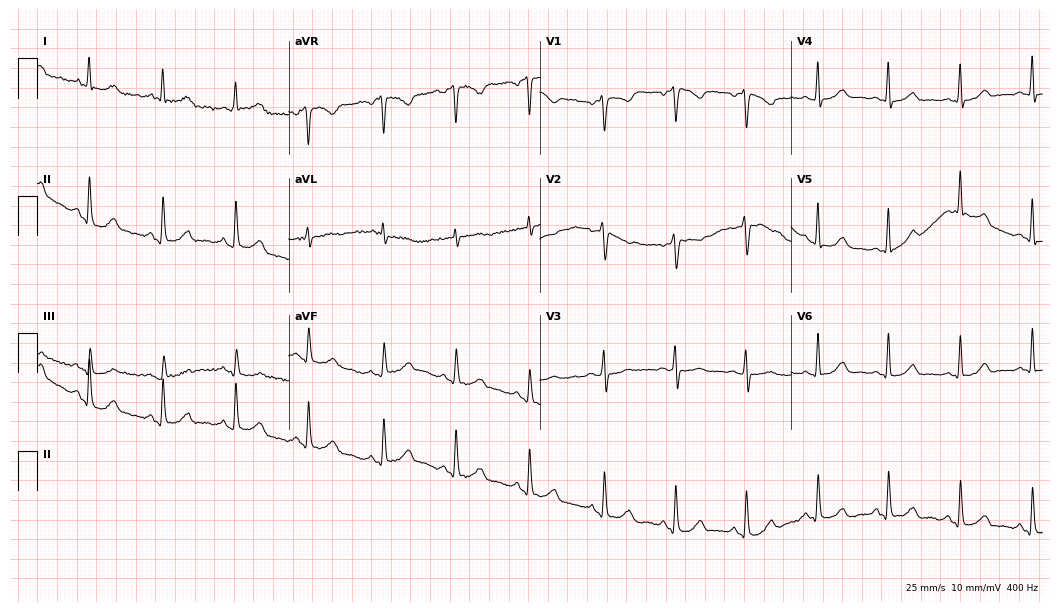
Standard 12-lead ECG recorded from a 40-year-old woman (10.2-second recording at 400 Hz). Read as a normal ECG.